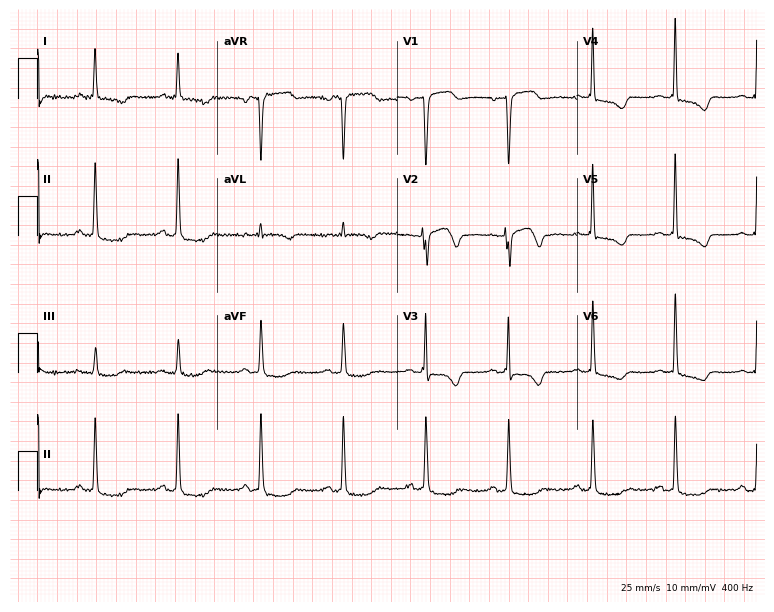
12-lead ECG from a female patient, 61 years old. Screened for six findings — first-degree AV block, right bundle branch block, left bundle branch block, sinus bradycardia, atrial fibrillation, sinus tachycardia — none is recorded. Only these six findings were labelled.